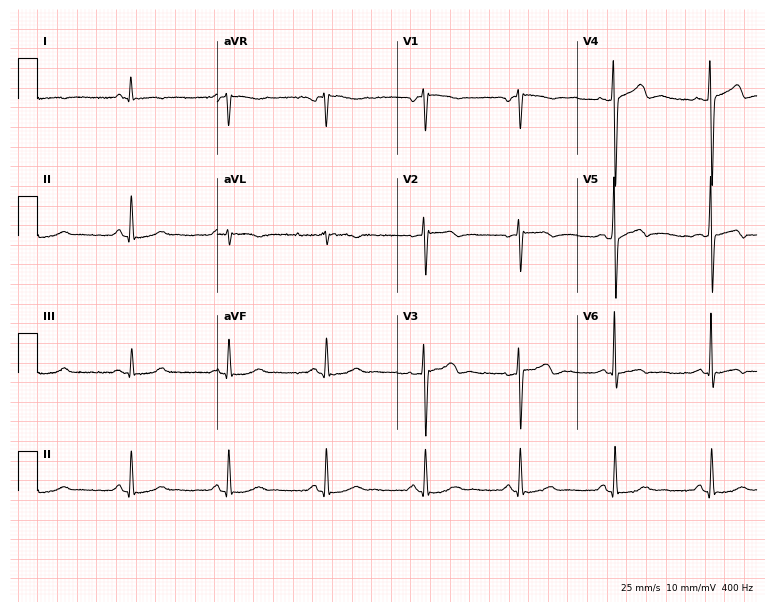
Standard 12-lead ECG recorded from a 53-year-old female. None of these six findings is recorded: first-degree AV block, right bundle branch block, left bundle branch block, sinus bradycardia, atrial fibrillation, sinus tachycardia. Only these six findings were labelled.